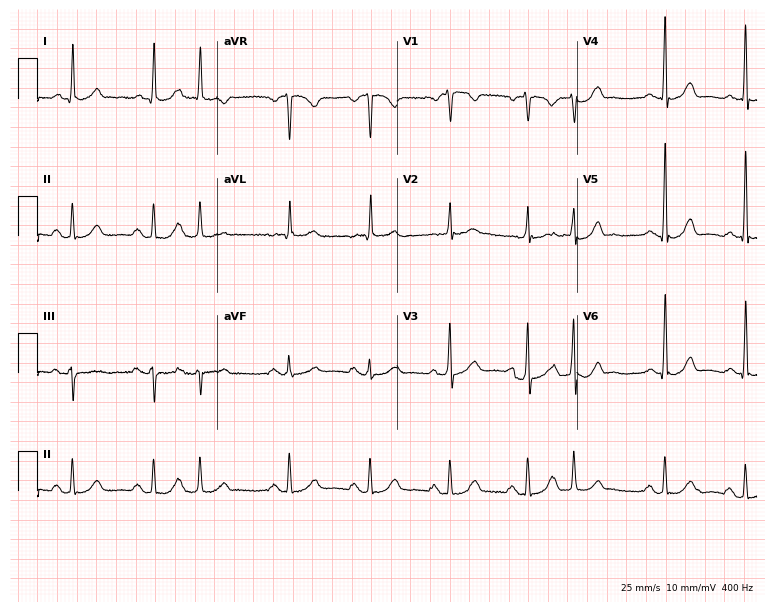
Resting 12-lead electrocardiogram (7.3-second recording at 400 Hz). Patient: a 67-year-old woman. None of these six findings is recorded: first-degree AV block, right bundle branch block, left bundle branch block, sinus bradycardia, atrial fibrillation, sinus tachycardia.